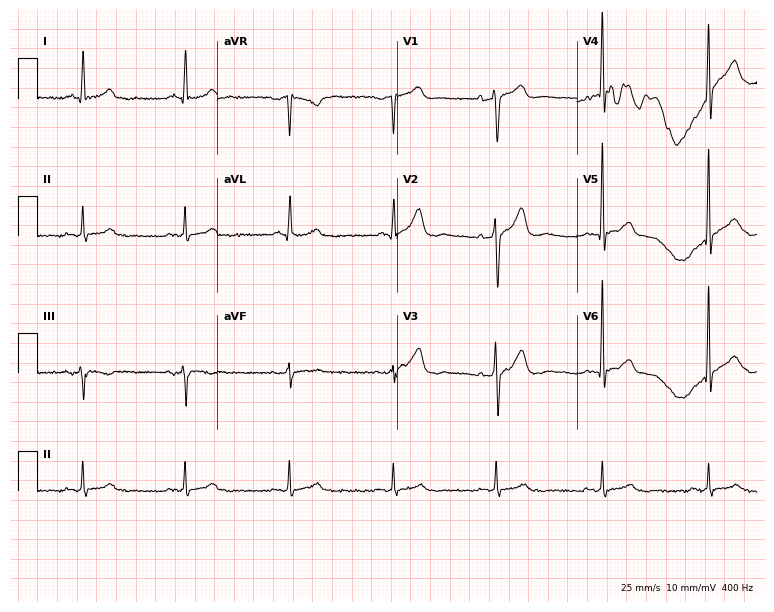
12-lead ECG from a male, 72 years old. Recorded interpretation: within normal limits.